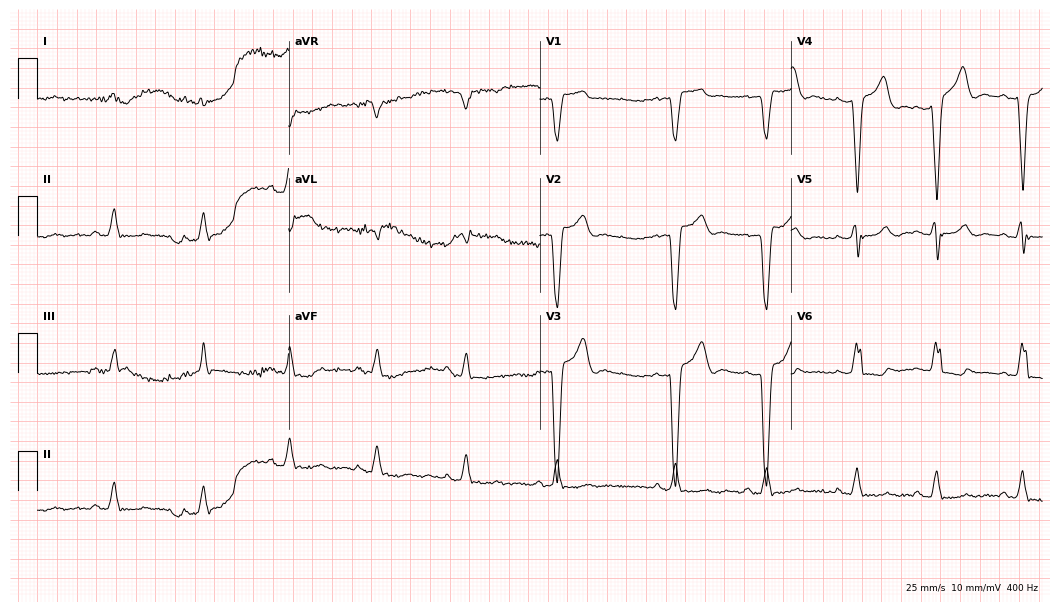
12-lead ECG from an 80-year-old female patient. Shows left bundle branch block.